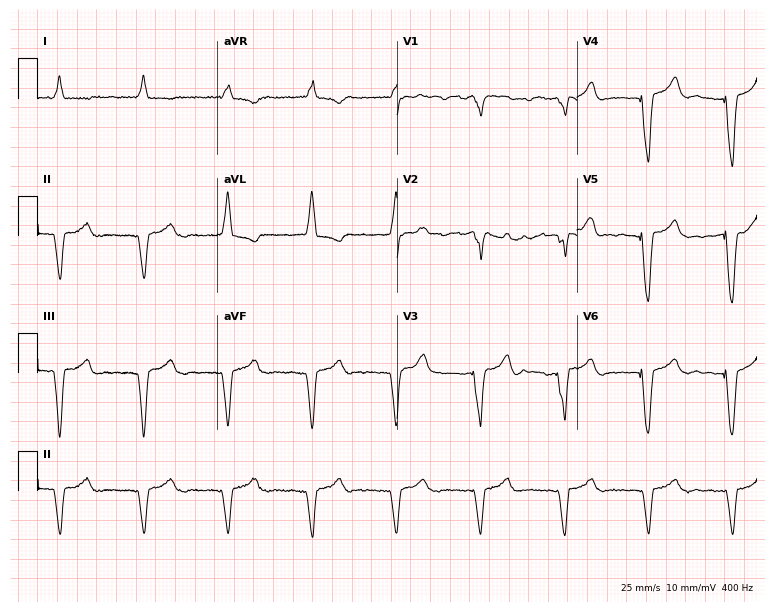
12-lead ECG from a female, 75 years old (7.3-second recording at 400 Hz). No first-degree AV block, right bundle branch block (RBBB), left bundle branch block (LBBB), sinus bradycardia, atrial fibrillation (AF) or sinus tachycardia recorded for this tracing.